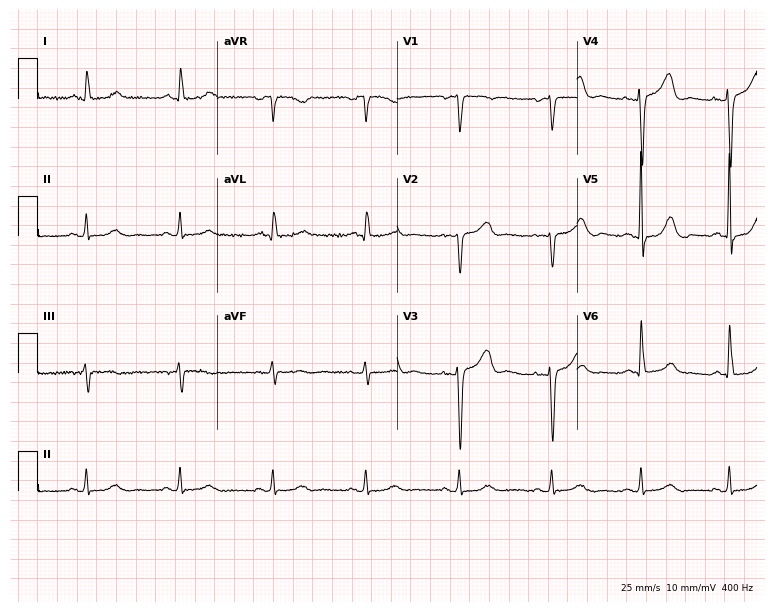
12-lead ECG from a female, 61 years old. No first-degree AV block, right bundle branch block (RBBB), left bundle branch block (LBBB), sinus bradycardia, atrial fibrillation (AF) or sinus tachycardia recorded for this tracing.